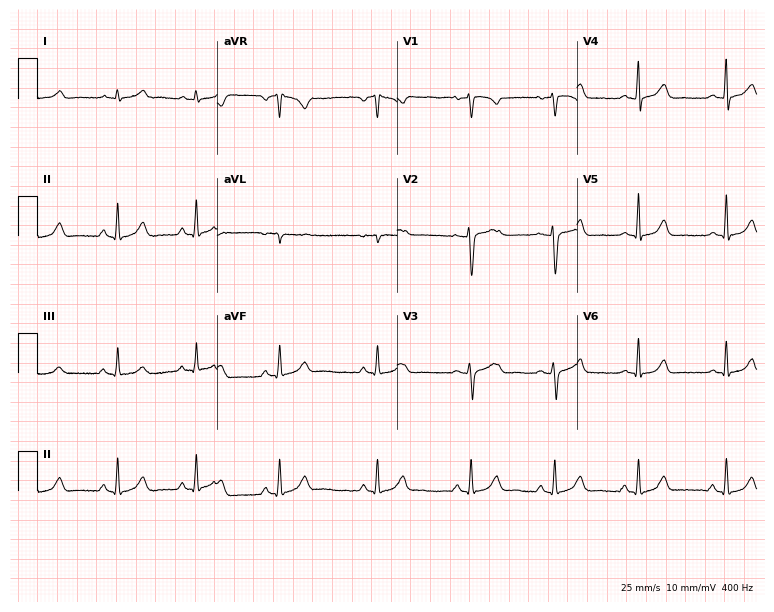
Resting 12-lead electrocardiogram (7.3-second recording at 400 Hz). Patient: a woman, 30 years old. Read as a normal ECG.